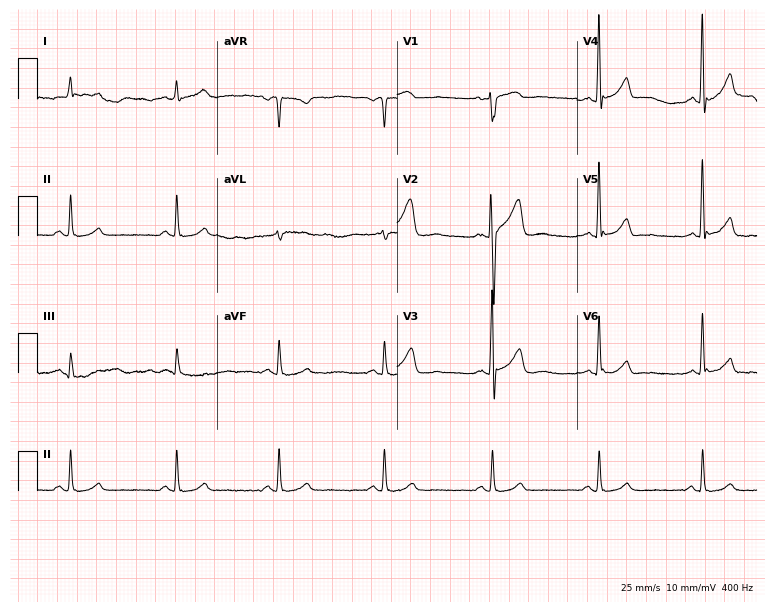
Resting 12-lead electrocardiogram (7.3-second recording at 400 Hz). Patient: a man, 55 years old. Read as a normal ECG.